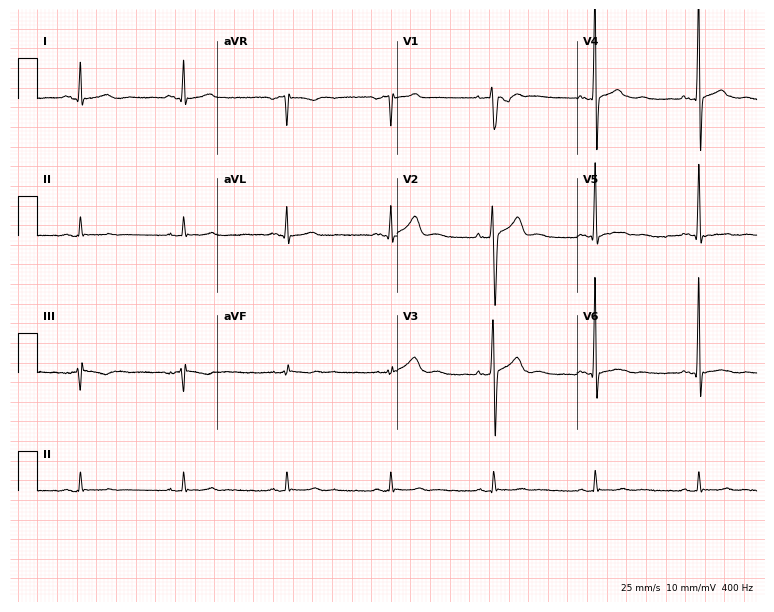
ECG (7.3-second recording at 400 Hz) — a 46-year-old man. Screened for six findings — first-degree AV block, right bundle branch block, left bundle branch block, sinus bradycardia, atrial fibrillation, sinus tachycardia — none is recorded. Only these six findings were labelled.